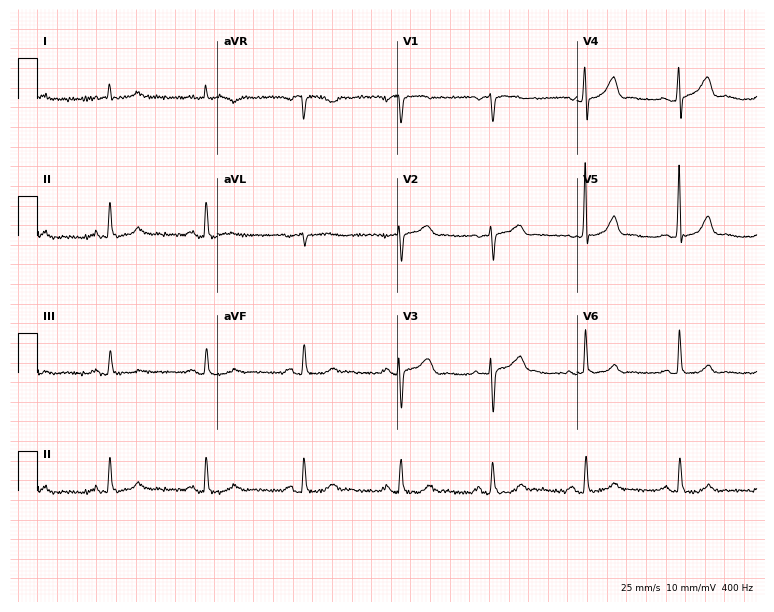
ECG (7.3-second recording at 400 Hz) — a male, 70 years old. Screened for six findings — first-degree AV block, right bundle branch block, left bundle branch block, sinus bradycardia, atrial fibrillation, sinus tachycardia — none is recorded.